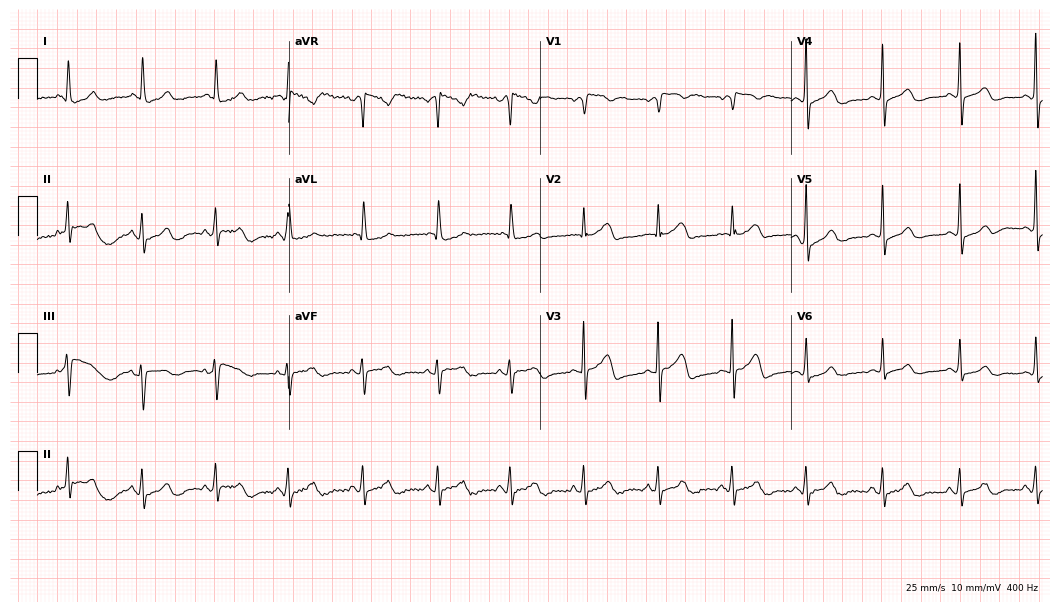
12-lead ECG from a female, 62 years old. Screened for six findings — first-degree AV block, right bundle branch block, left bundle branch block, sinus bradycardia, atrial fibrillation, sinus tachycardia — none is recorded.